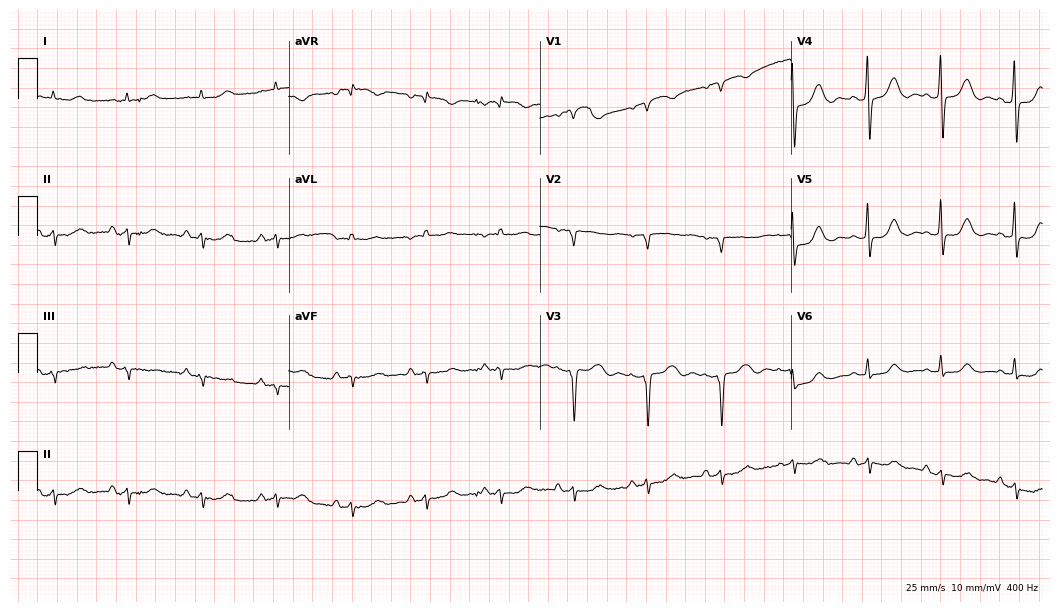
Standard 12-lead ECG recorded from a 69-year-old woman (10.2-second recording at 400 Hz). None of these six findings is recorded: first-degree AV block, right bundle branch block (RBBB), left bundle branch block (LBBB), sinus bradycardia, atrial fibrillation (AF), sinus tachycardia.